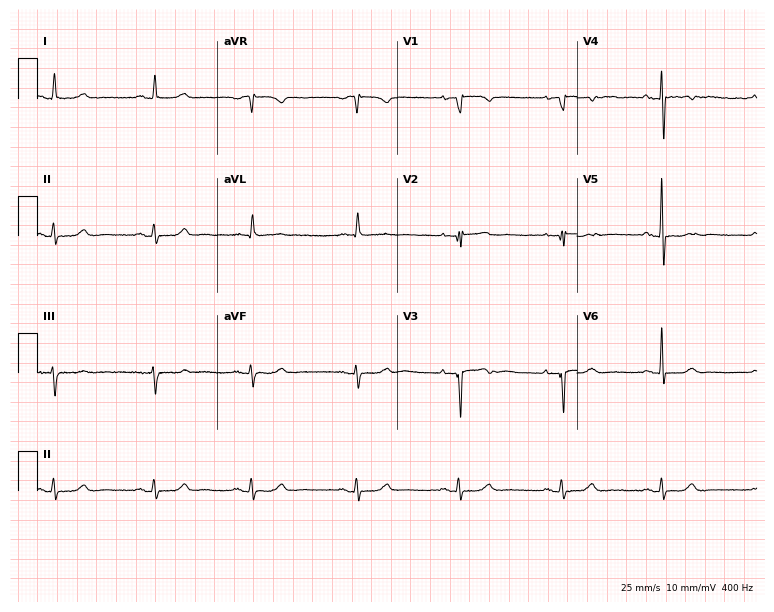
12-lead ECG from an 80-year-old female (7.3-second recording at 400 Hz). No first-degree AV block, right bundle branch block, left bundle branch block, sinus bradycardia, atrial fibrillation or sinus tachycardia recorded for this tracing.